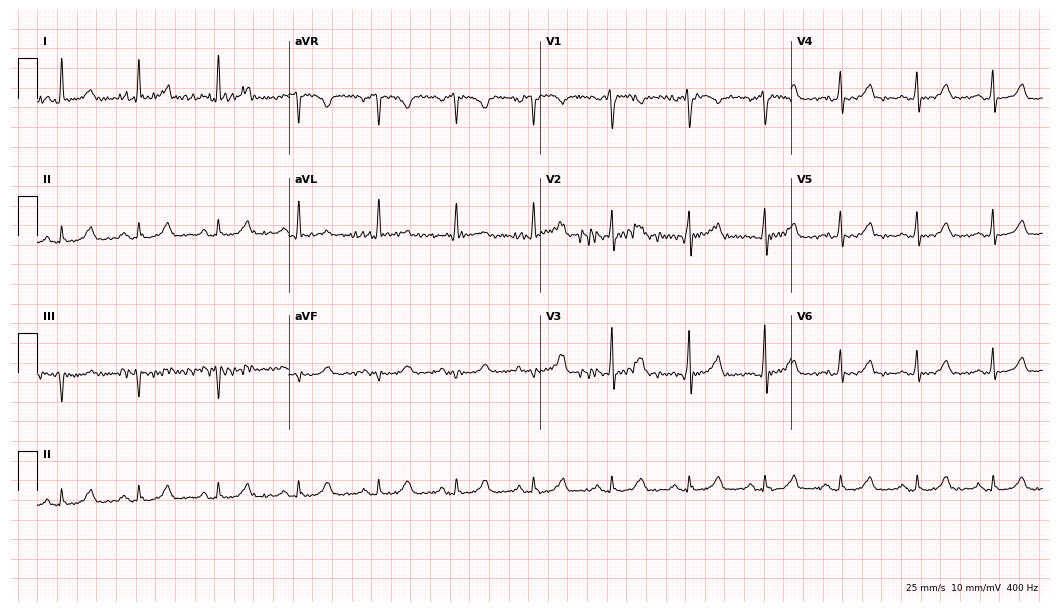
12-lead ECG from a 60-year-old female. Labelled as a normal ECG.